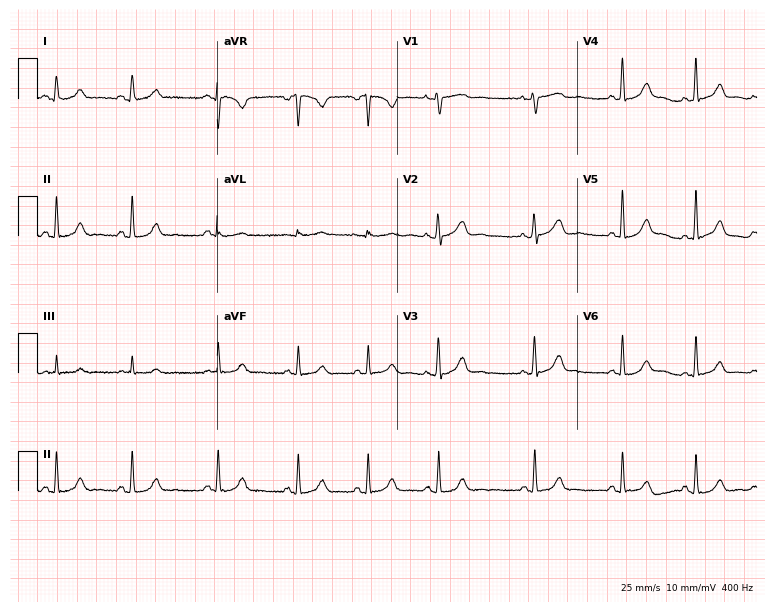
ECG — a female, 30 years old. Labelled as a normal ECG.